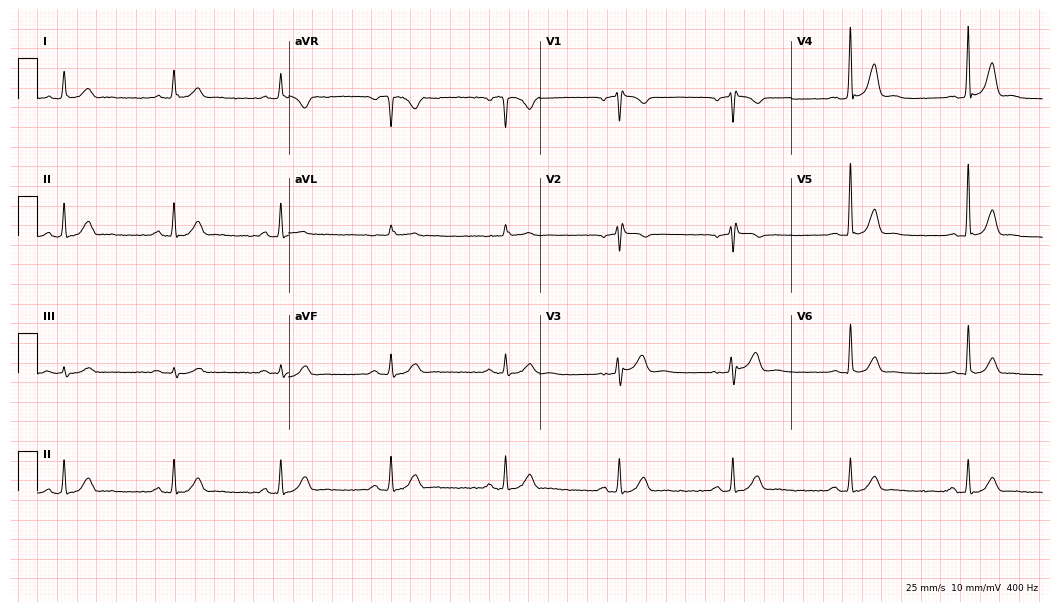
Resting 12-lead electrocardiogram. Patient: a man, 47 years old. None of these six findings is recorded: first-degree AV block, right bundle branch block, left bundle branch block, sinus bradycardia, atrial fibrillation, sinus tachycardia.